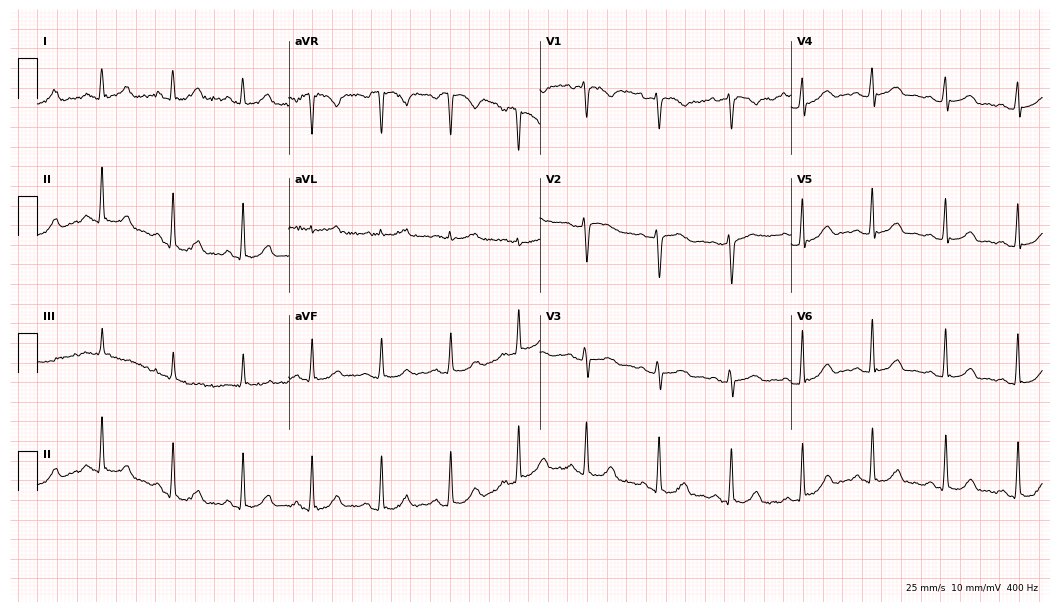
12-lead ECG from a woman, 46 years old. Labelled as a normal ECG.